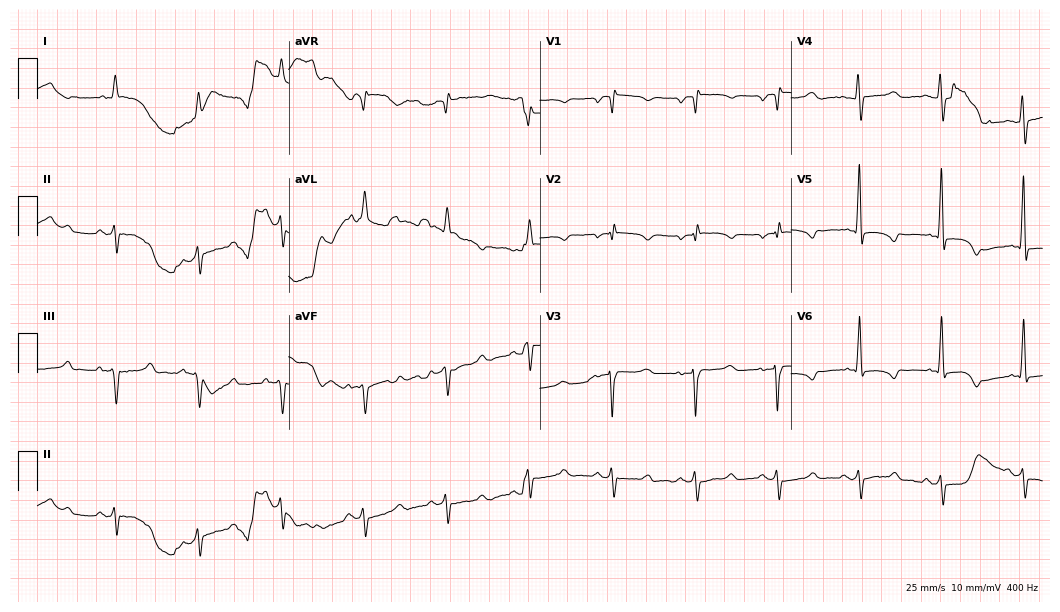
Resting 12-lead electrocardiogram. Patient: a male, 63 years old. None of these six findings is recorded: first-degree AV block, right bundle branch block, left bundle branch block, sinus bradycardia, atrial fibrillation, sinus tachycardia. Only these six findings were labelled.